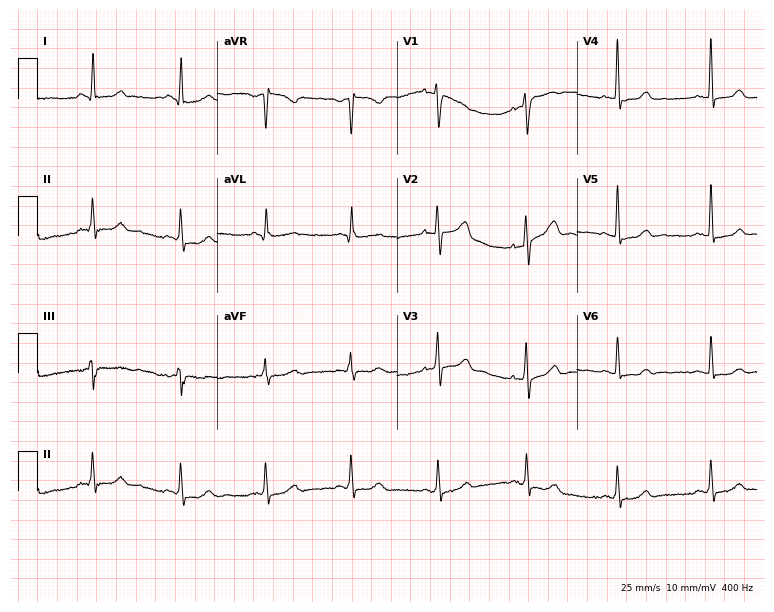
12-lead ECG from a female patient, 49 years old (7.3-second recording at 400 Hz). Recorded interpretation: within normal limits.